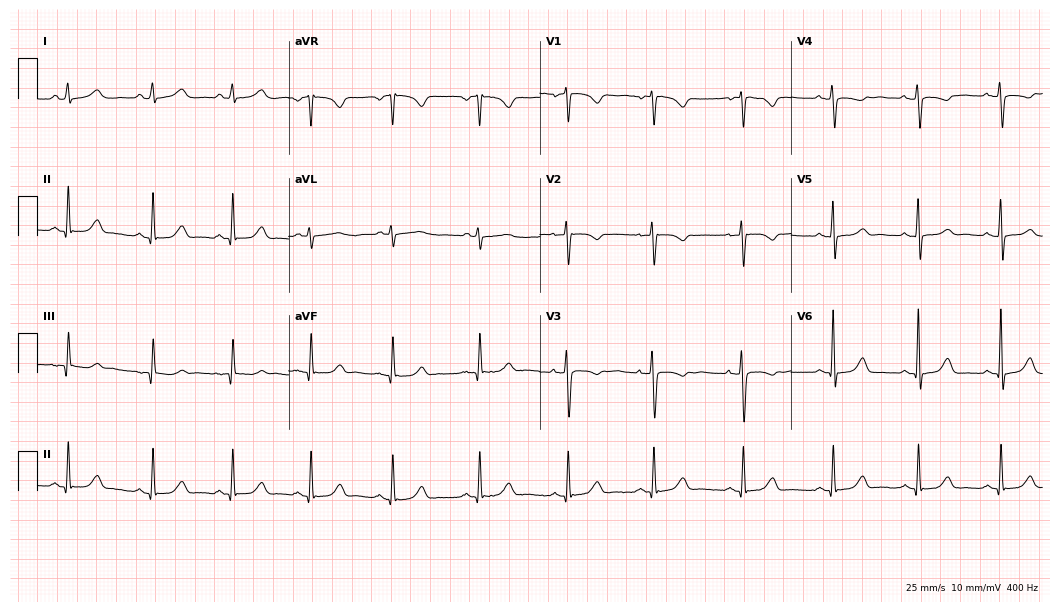
Electrocardiogram (10.2-second recording at 400 Hz), a 44-year-old female. Of the six screened findings (first-degree AV block, right bundle branch block, left bundle branch block, sinus bradycardia, atrial fibrillation, sinus tachycardia), none is recorded. Other findings, if any, are not listed.